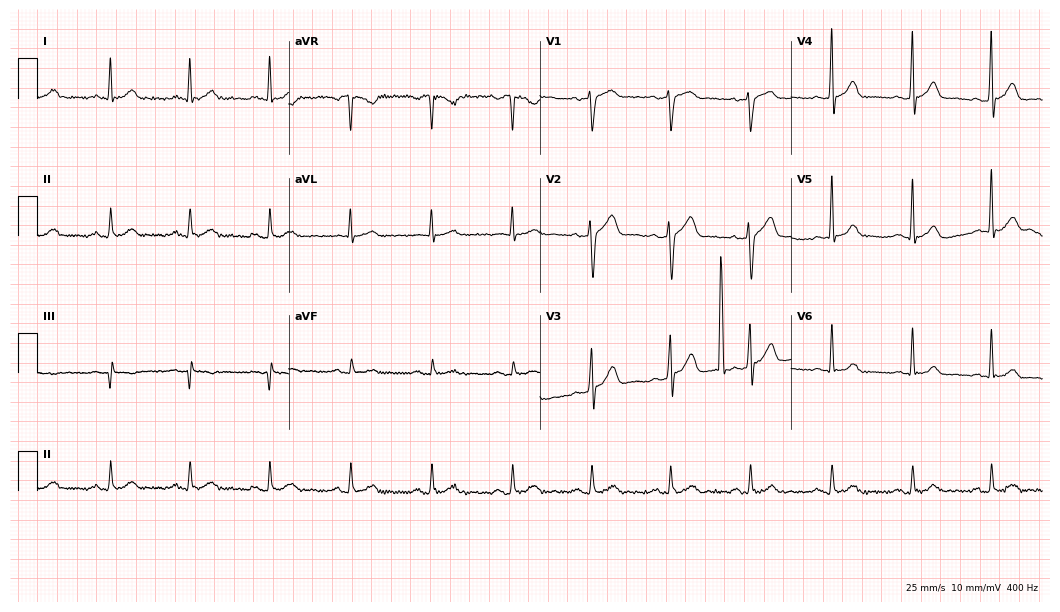
Electrocardiogram, a 59-year-old man. Overall reading on record: normal ECG.